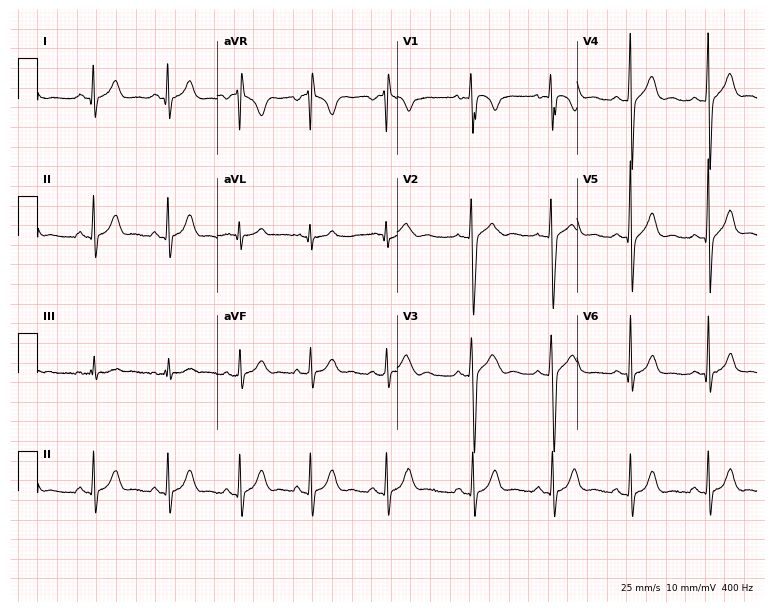
12-lead ECG from a 17-year-old male patient (7.3-second recording at 400 Hz). Recorded interpretation: within normal limits.